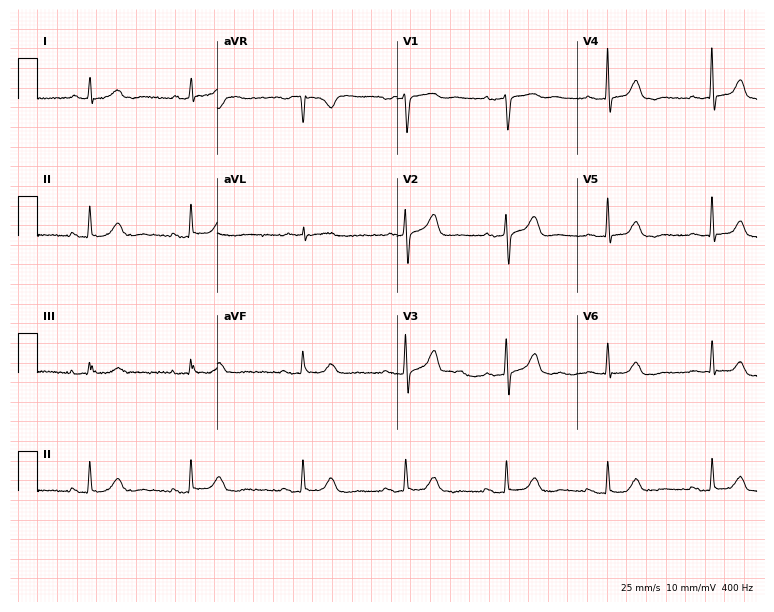
12-lead ECG from a 51-year-old female (7.3-second recording at 400 Hz). Recorded interpretation: within normal limits.